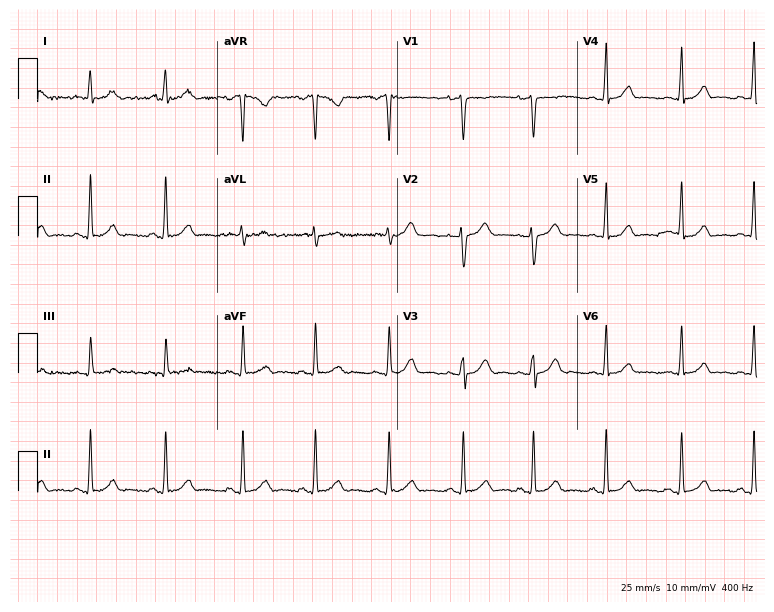
12-lead ECG (7.3-second recording at 400 Hz) from a 37-year-old woman. Labelled as a normal ECG.